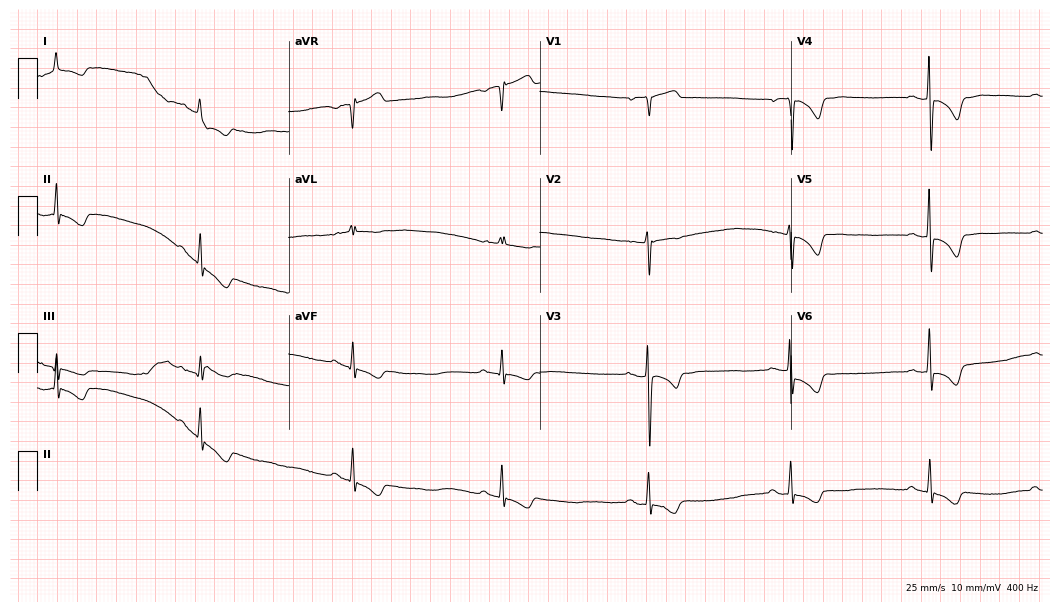
12-lead ECG from a female patient, 69 years old (10.2-second recording at 400 Hz). Shows sinus bradycardia (a sinus rate of 50 beats per minute or less).